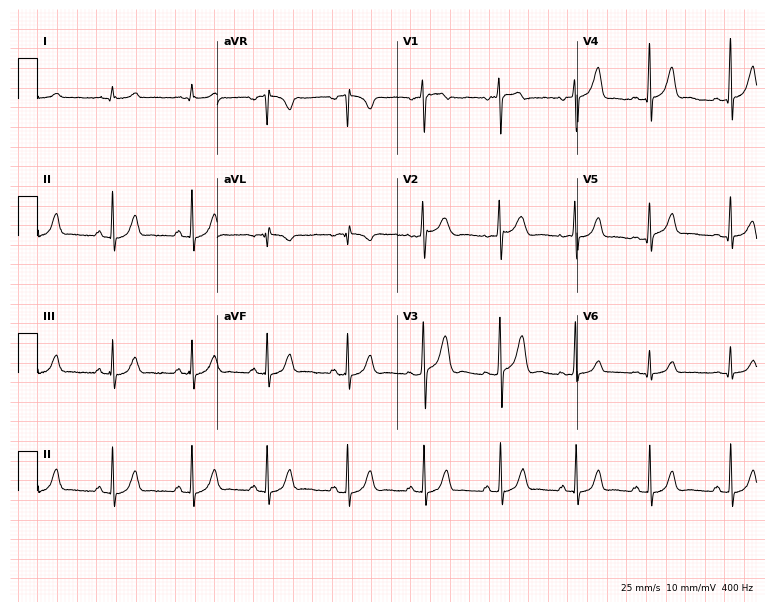
12-lead ECG from a 23-year-old man. Recorded interpretation: within normal limits.